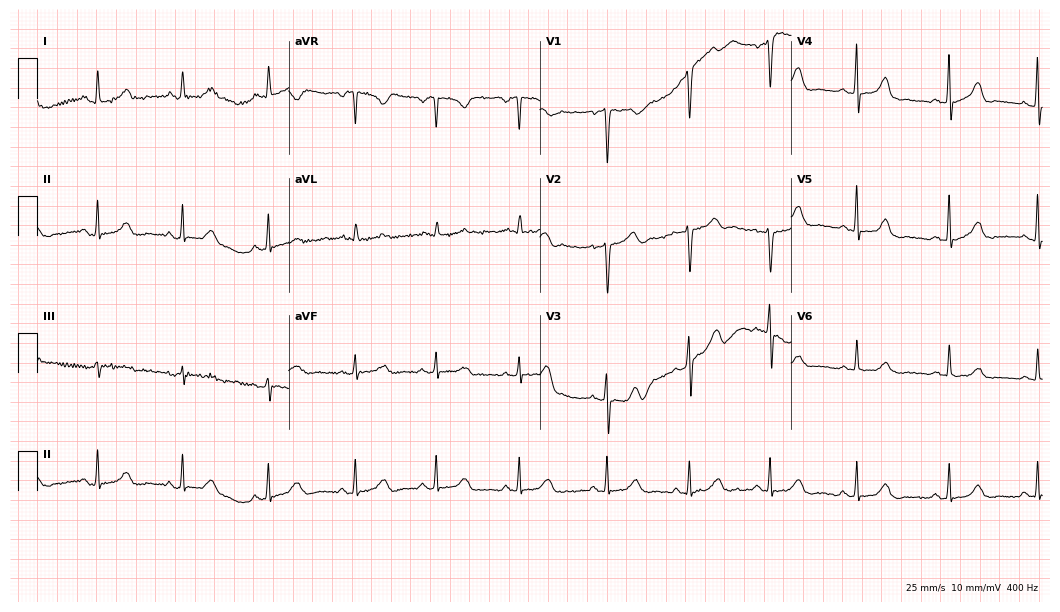
Standard 12-lead ECG recorded from a female, 41 years old. Read as a normal ECG.